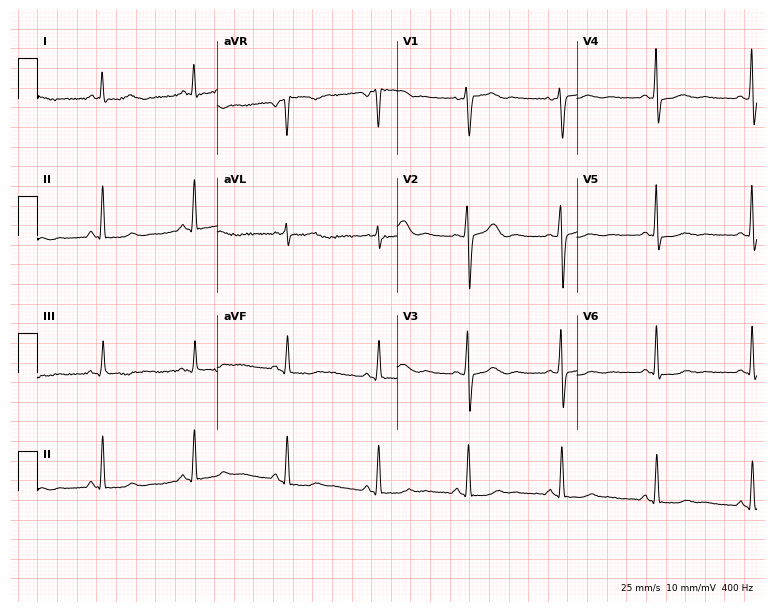
Standard 12-lead ECG recorded from a woman, 58 years old. None of these six findings is recorded: first-degree AV block, right bundle branch block (RBBB), left bundle branch block (LBBB), sinus bradycardia, atrial fibrillation (AF), sinus tachycardia. Only these six findings were labelled.